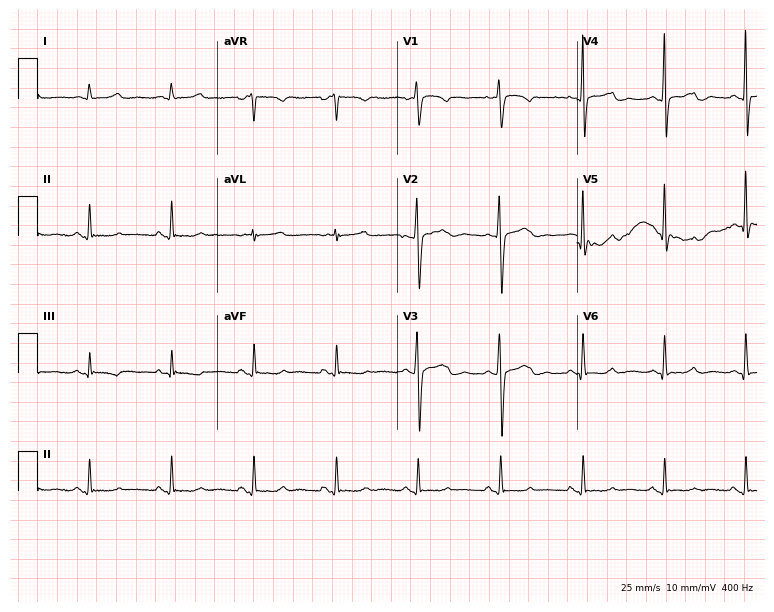
Standard 12-lead ECG recorded from a woman, 38 years old (7.3-second recording at 400 Hz). None of these six findings is recorded: first-degree AV block, right bundle branch block (RBBB), left bundle branch block (LBBB), sinus bradycardia, atrial fibrillation (AF), sinus tachycardia. Only these six findings were labelled.